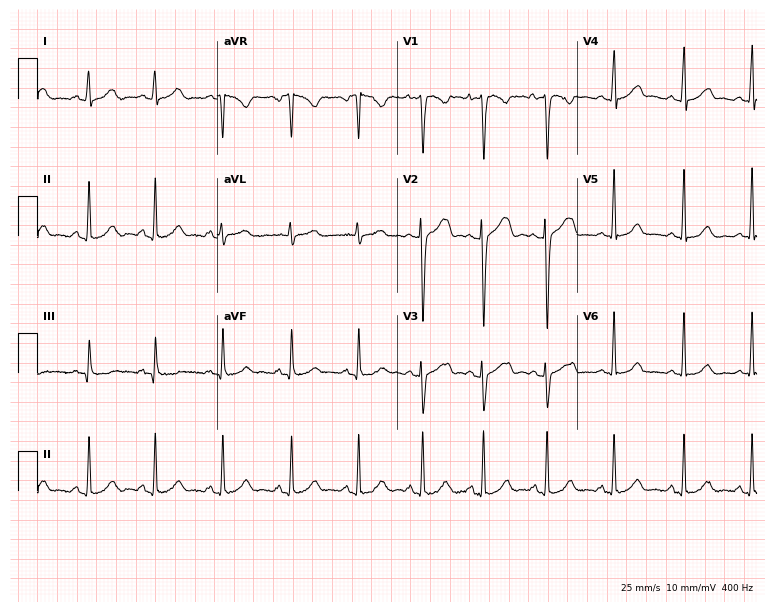
Resting 12-lead electrocardiogram. Patient: a 17-year-old woman. None of these six findings is recorded: first-degree AV block, right bundle branch block, left bundle branch block, sinus bradycardia, atrial fibrillation, sinus tachycardia. Other findings, if any, are not listed.